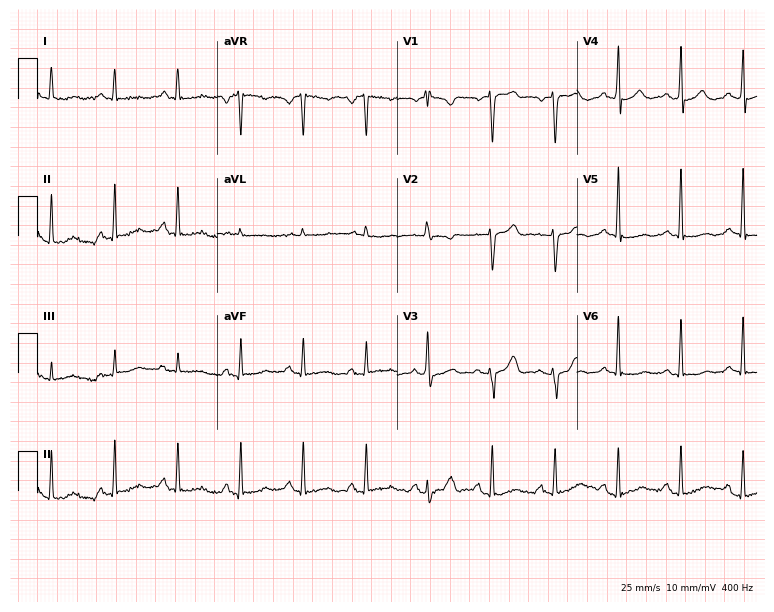
Electrocardiogram (7.3-second recording at 400 Hz), a 63-year-old male. Of the six screened findings (first-degree AV block, right bundle branch block (RBBB), left bundle branch block (LBBB), sinus bradycardia, atrial fibrillation (AF), sinus tachycardia), none is recorded. Findings outside these six are not listed.